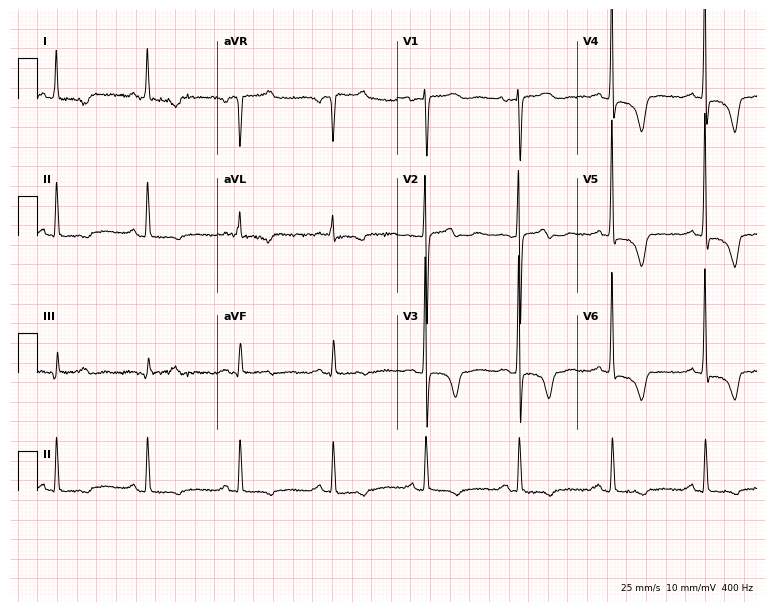
Electrocardiogram, a 71-year-old female. Of the six screened findings (first-degree AV block, right bundle branch block (RBBB), left bundle branch block (LBBB), sinus bradycardia, atrial fibrillation (AF), sinus tachycardia), none is recorded. Only these six findings were labelled.